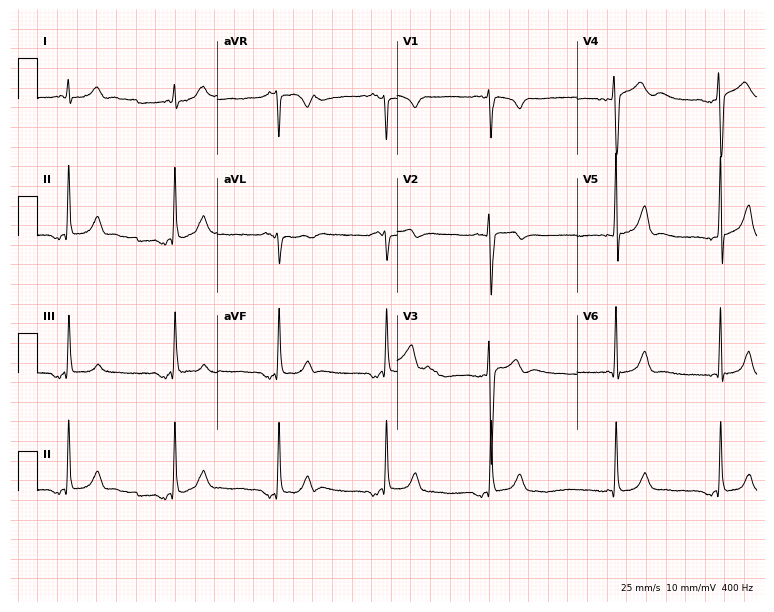
12-lead ECG from a 31-year-old male. No first-degree AV block, right bundle branch block, left bundle branch block, sinus bradycardia, atrial fibrillation or sinus tachycardia recorded for this tracing.